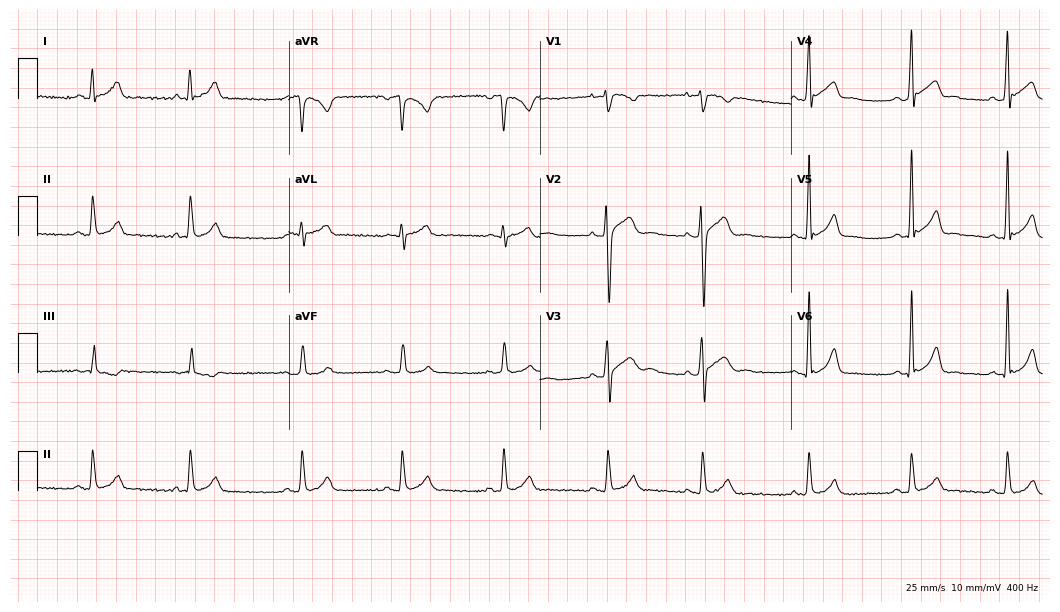
ECG (10.2-second recording at 400 Hz) — a 22-year-old man. Labelled as a normal ECG.